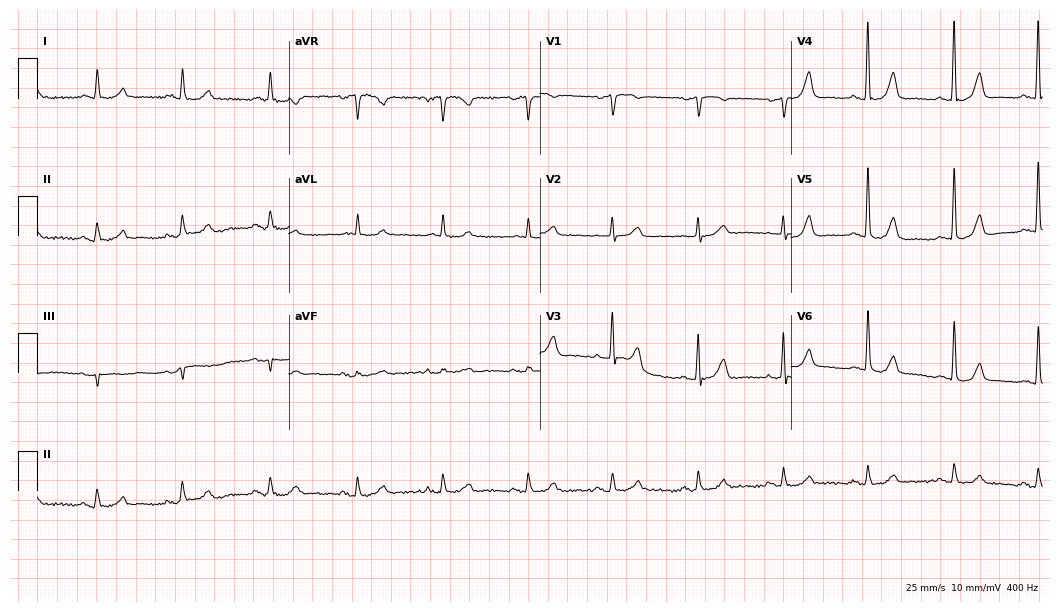
12-lead ECG (10.2-second recording at 400 Hz) from a 79-year-old male patient. Labelled as a normal ECG.